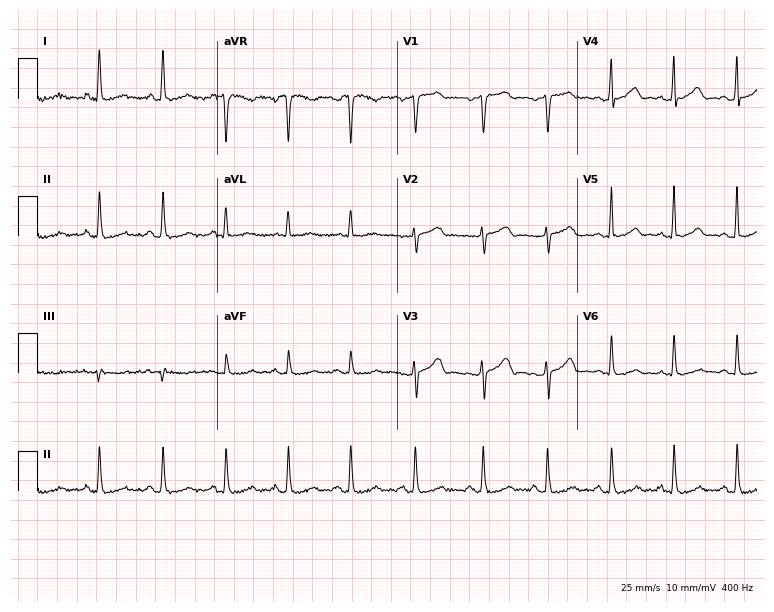
12-lead ECG from a female, 53 years old. Recorded interpretation: within normal limits.